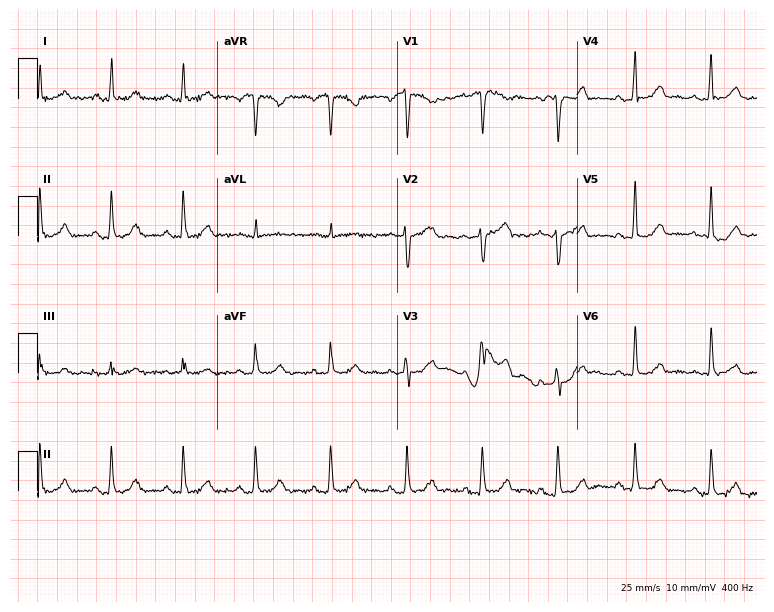
12-lead ECG from a 40-year-old woman. Labelled as a normal ECG.